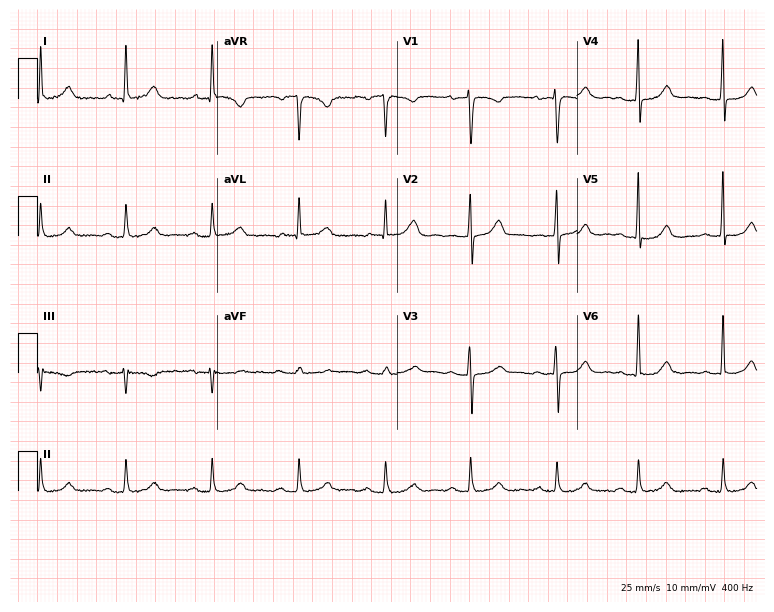
12-lead ECG (7.3-second recording at 400 Hz) from a female, 63 years old. Labelled as a normal ECG.